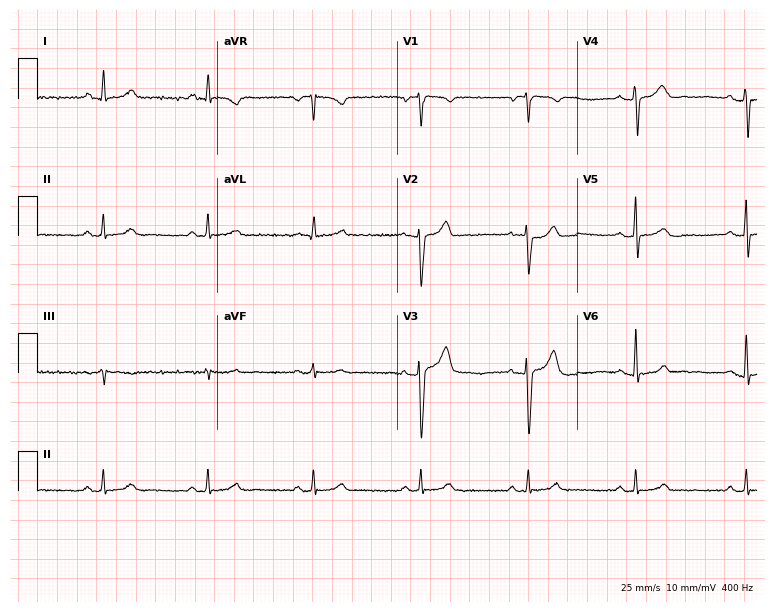
Resting 12-lead electrocardiogram. Patient: a male, 37 years old. None of these six findings is recorded: first-degree AV block, right bundle branch block, left bundle branch block, sinus bradycardia, atrial fibrillation, sinus tachycardia. Other findings, if any, are not listed.